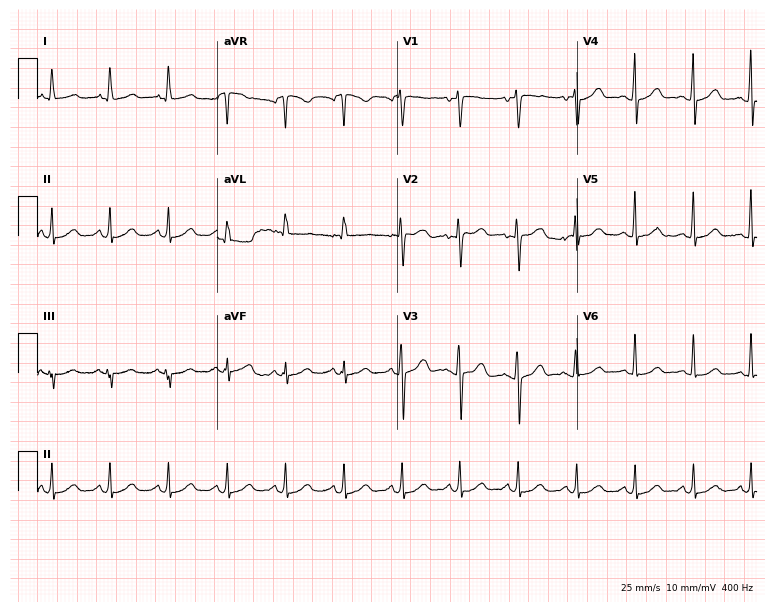
12-lead ECG from a 45-year-old female patient. Shows sinus tachycardia (a sinus rate of 100 beats per minute or more).